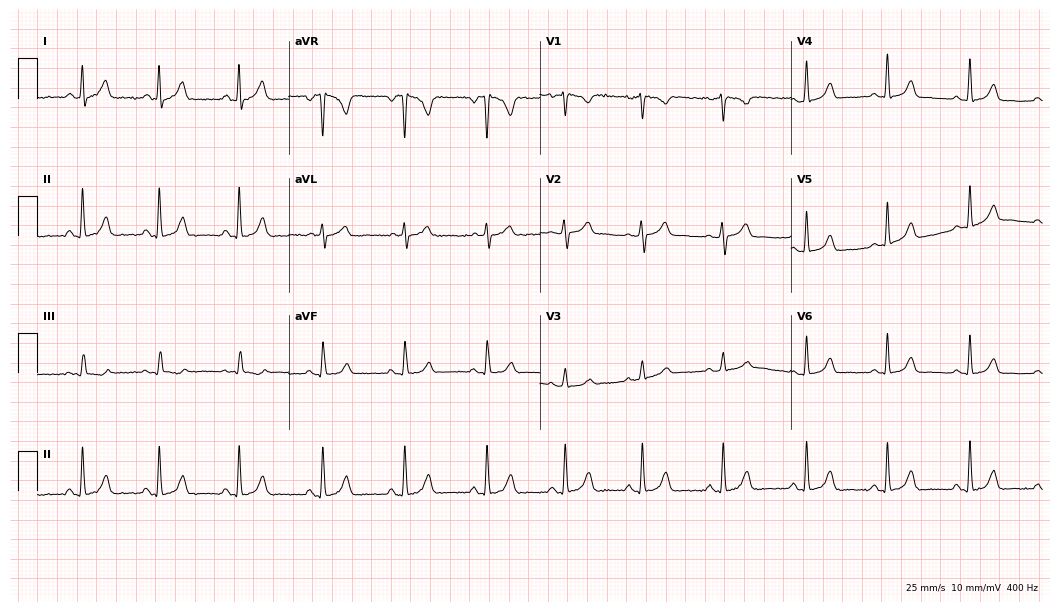
Electrocardiogram, a female, 37 years old. Overall reading on record: normal ECG.